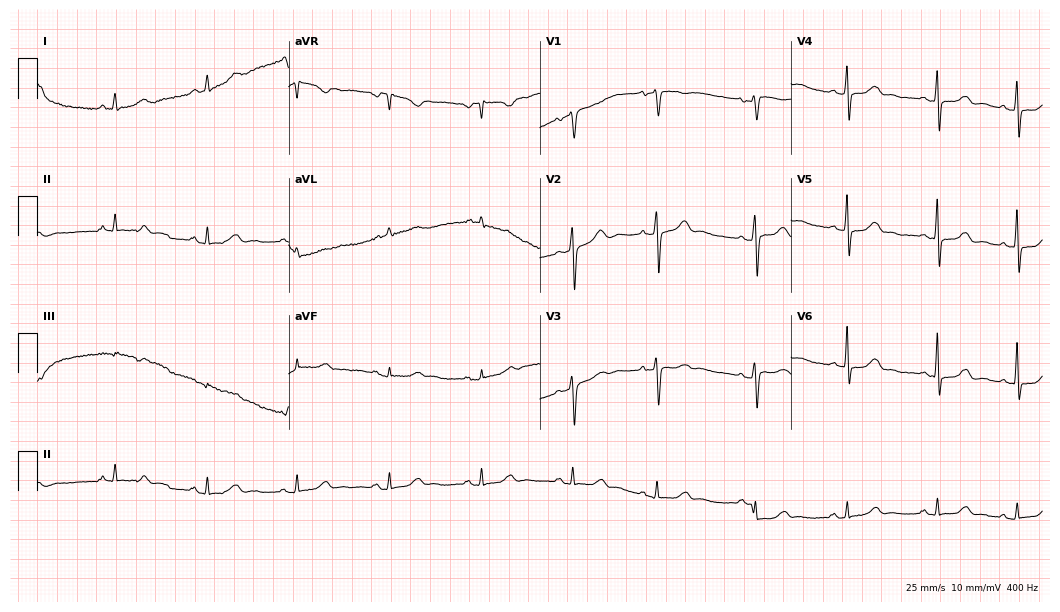
Electrocardiogram, an 84-year-old woman. Overall reading on record: normal ECG.